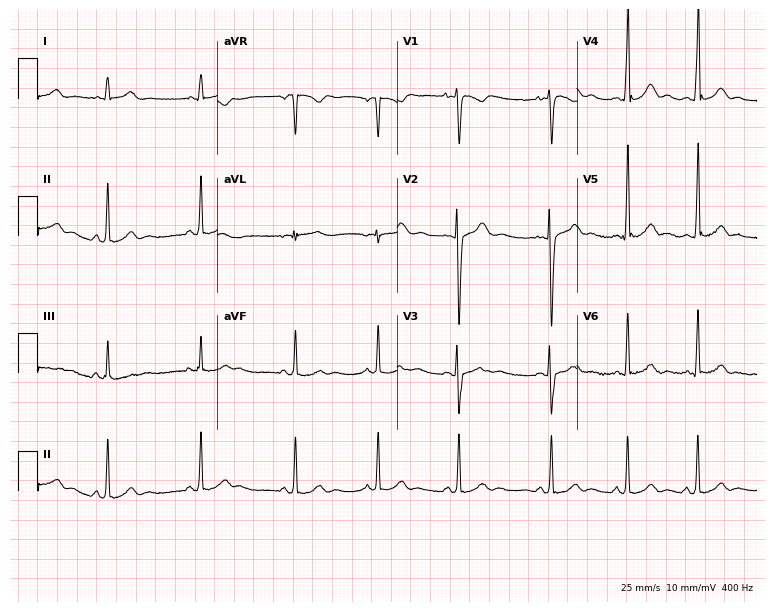
ECG (7.3-second recording at 400 Hz) — a 17-year-old female. Labelled as a normal ECG.